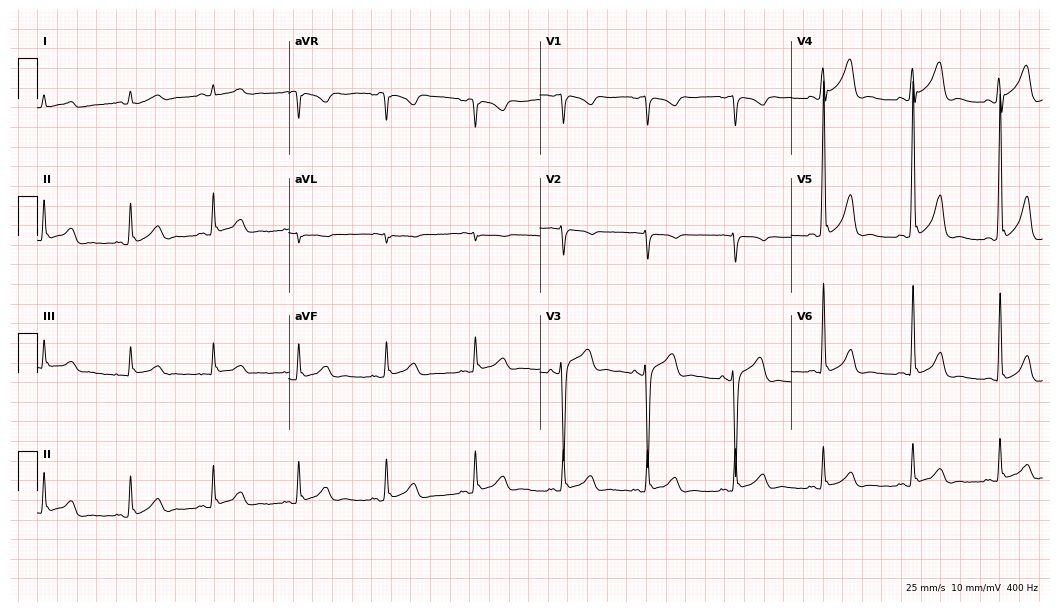
ECG — a male, 37 years old. Screened for six findings — first-degree AV block, right bundle branch block, left bundle branch block, sinus bradycardia, atrial fibrillation, sinus tachycardia — none is recorded.